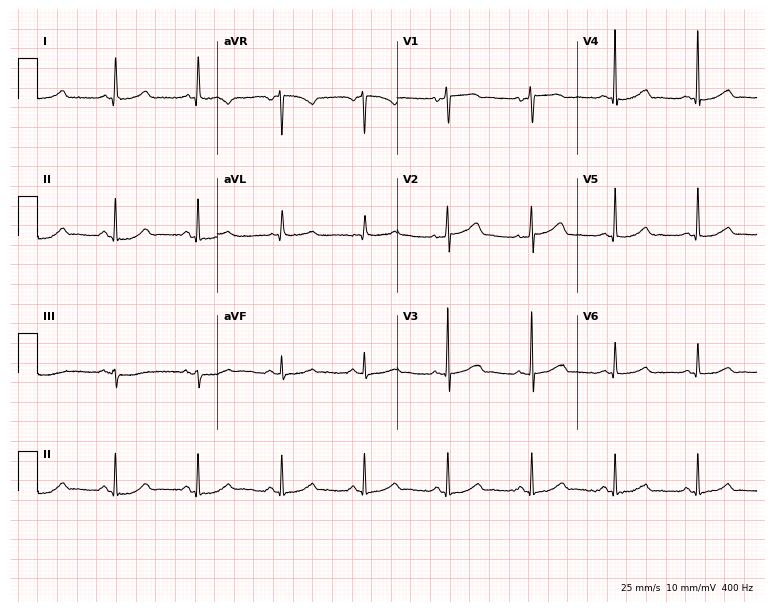
12-lead ECG from an 80-year-old female patient (7.3-second recording at 400 Hz). No first-degree AV block, right bundle branch block (RBBB), left bundle branch block (LBBB), sinus bradycardia, atrial fibrillation (AF) or sinus tachycardia recorded for this tracing.